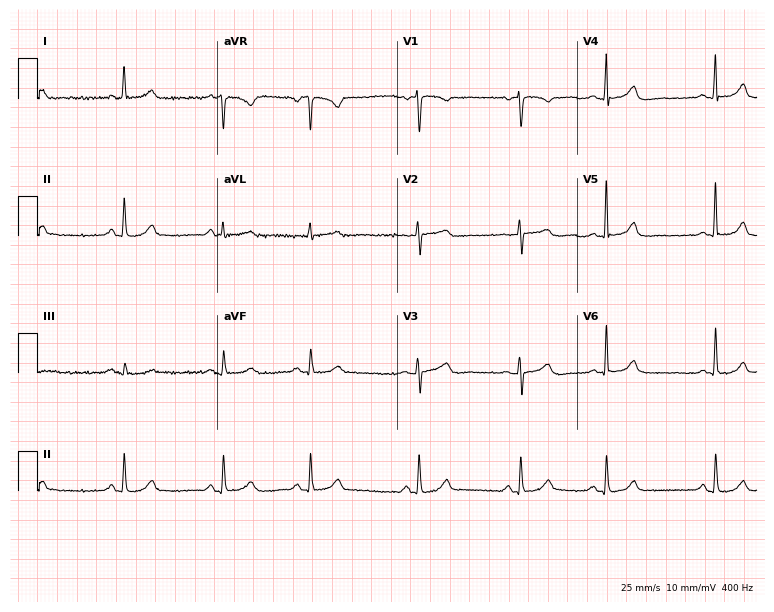
12-lead ECG (7.3-second recording at 400 Hz) from a 75-year-old female. Labelled as a normal ECG.